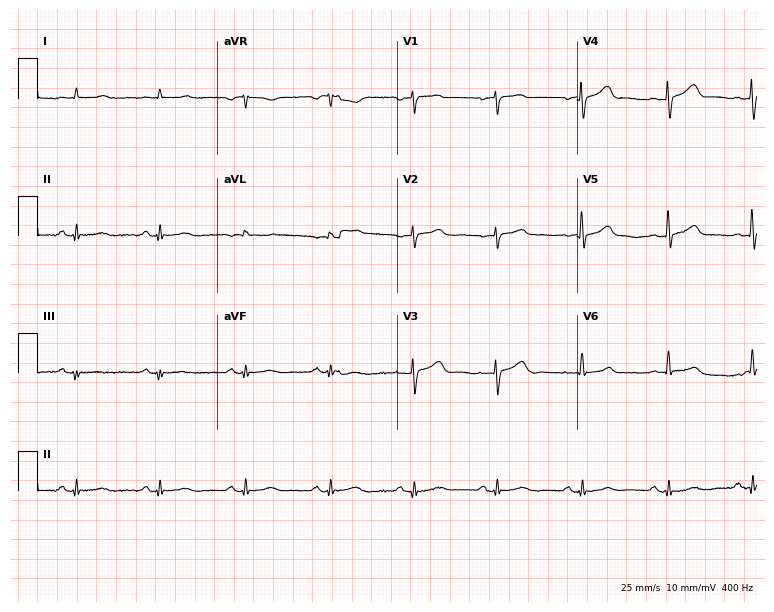
Standard 12-lead ECG recorded from a male, 84 years old (7.3-second recording at 400 Hz). None of these six findings is recorded: first-degree AV block, right bundle branch block, left bundle branch block, sinus bradycardia, atrial fibrillation, sinus tachycardia.